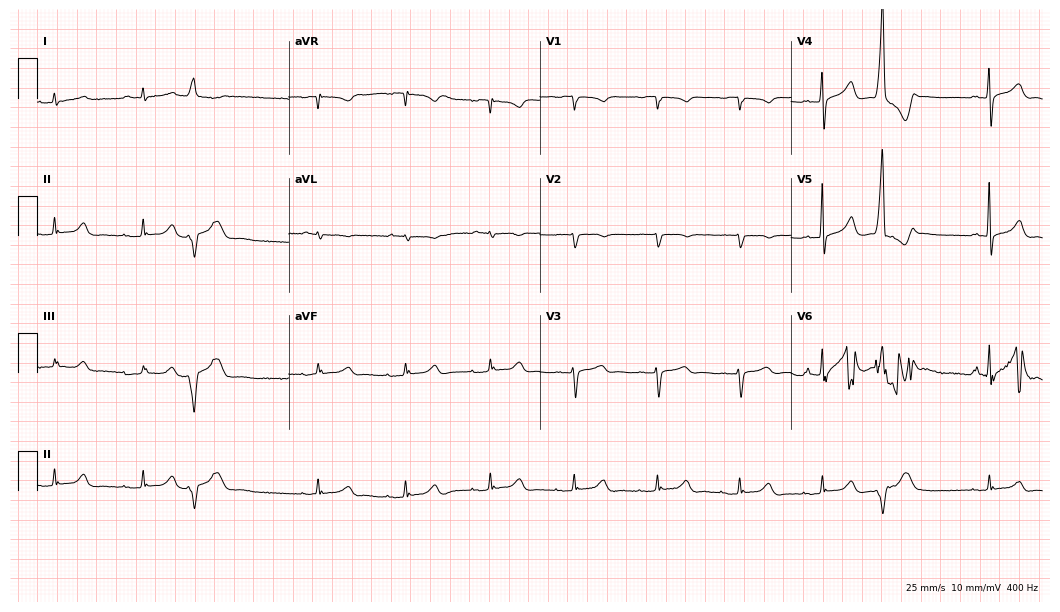
ECG (10.2-second recording at 400 Hz) — a man, 73 years old. Screened for six findings — first-degree AV block, right bundle branch block, left bundle branch block, sinus bradycardia, atrial fibrillation, sinus tachycardia — none is recorded.